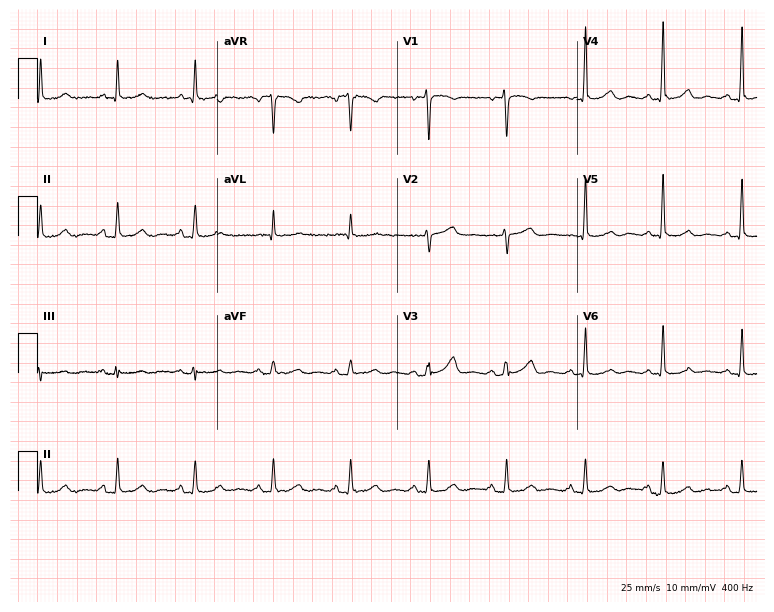
ECG — a female, 63 years old. Labelled as a normal ECG.